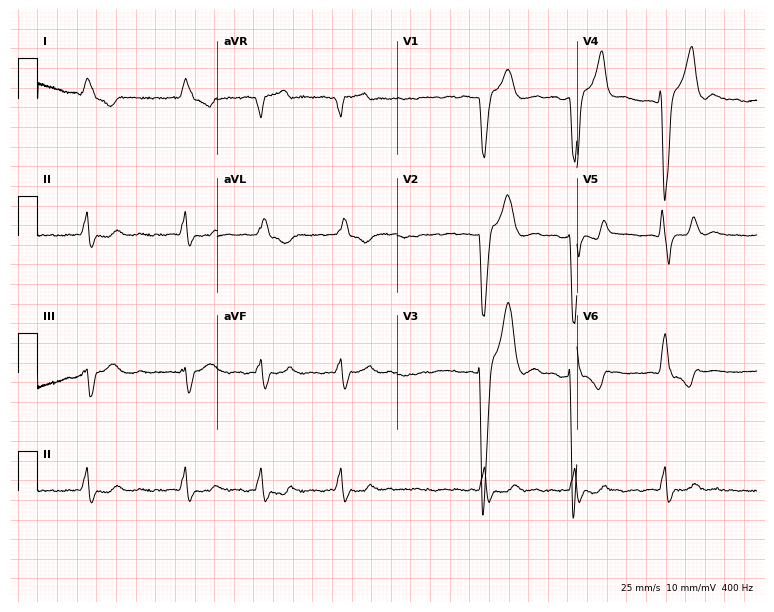
ECG — a man, 71 years old. Findings include left bundle branch block, atrial fibrillation.